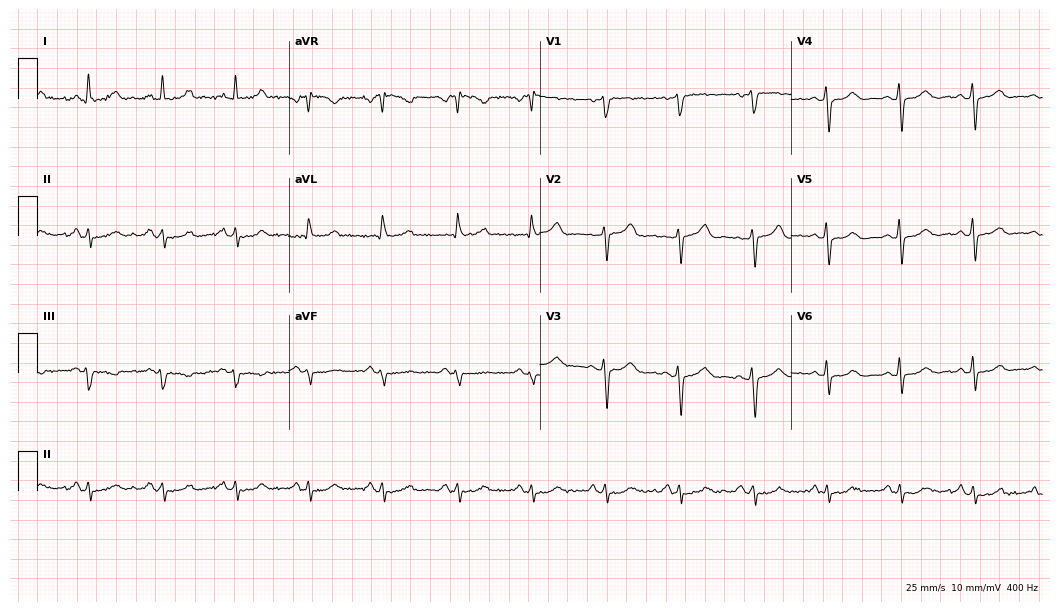
ECG (10.2-second recording at 400 Hz) — a 62-year-old female patient. Screened for six findings — first-degree AV block, right bundle branch block, left bundle branch block, sinus bradycardia, atrial fibrillation, sinus tachycardia — none is recorded.